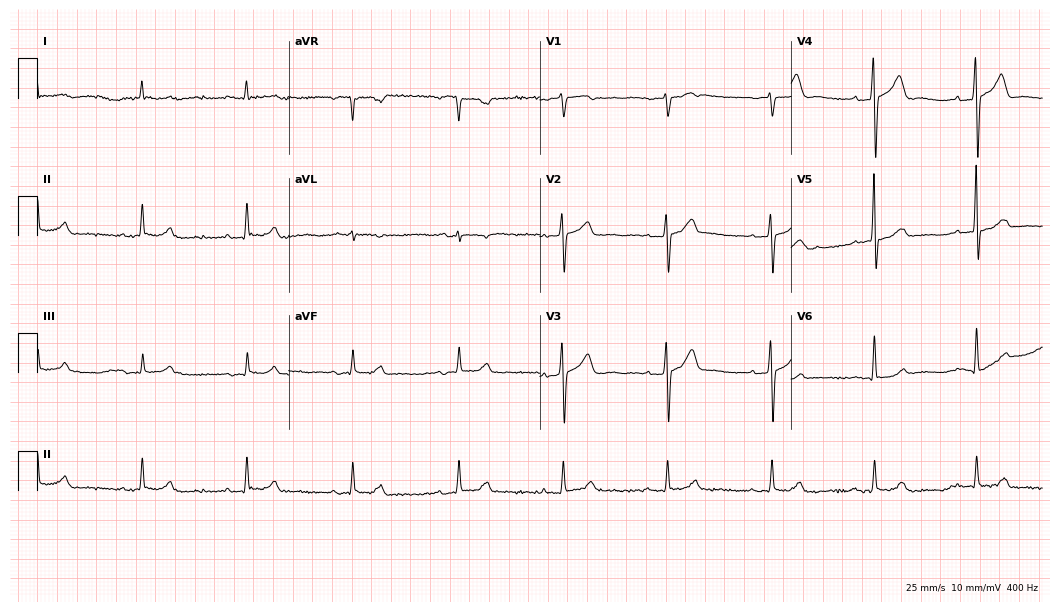
12-lead ECG from a 76-year-old female. No first-degree AV block, right bundle branch block (RBBB), left bundle branch block (LBBB), sinus bradycardia, atrial fibrillation (AF) or sinus tachycardia recorded for this tracing. Findings outside these six are not listed.